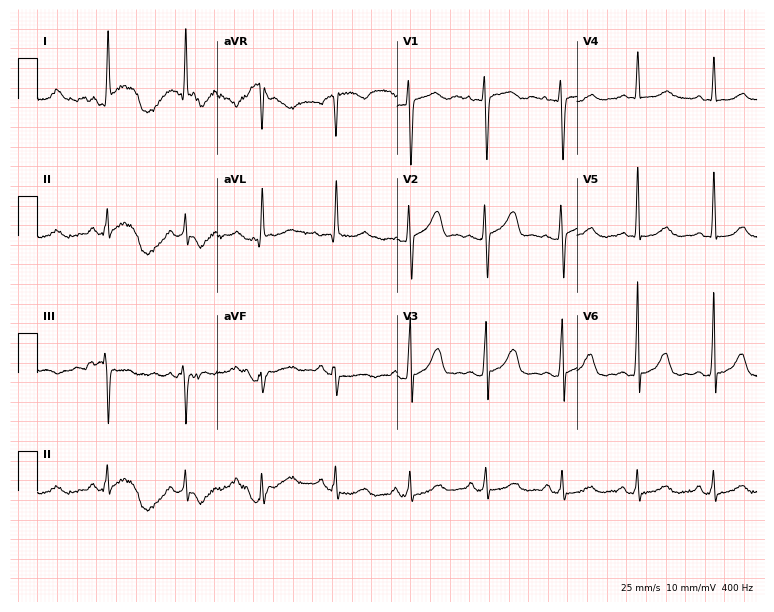
ECG — a female, 44 years old. Screened for six findings — first-degree AV block, right bundle branch block, left bundle branch block, sinus bradycardia, atrial fibrillation, sinus tachycardia — none is recorded. Findings outside these six are not listed.